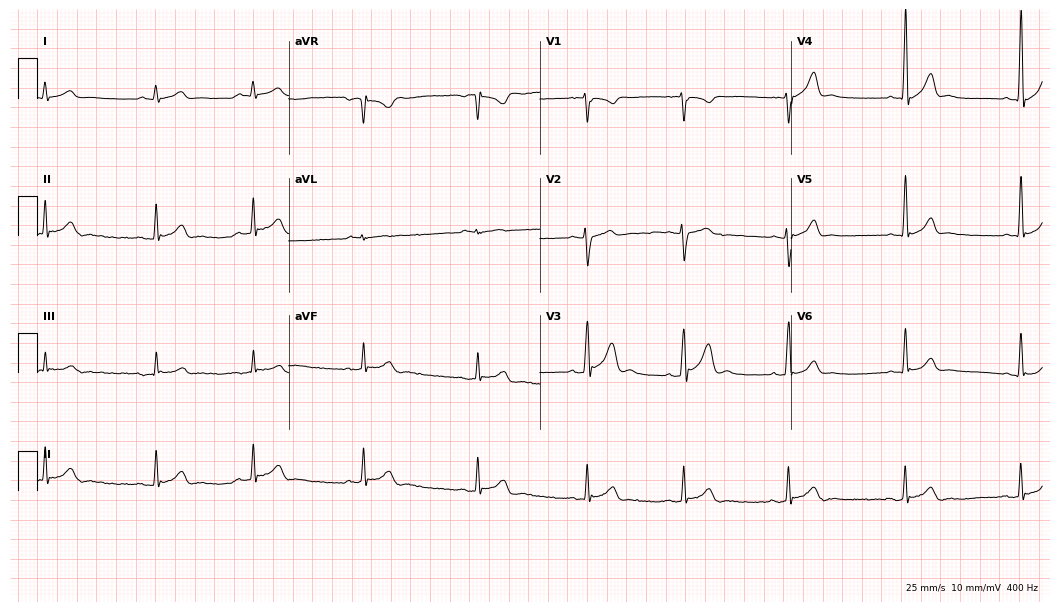
ECG — a 21-year-old male. Labelled as a normal ECG.